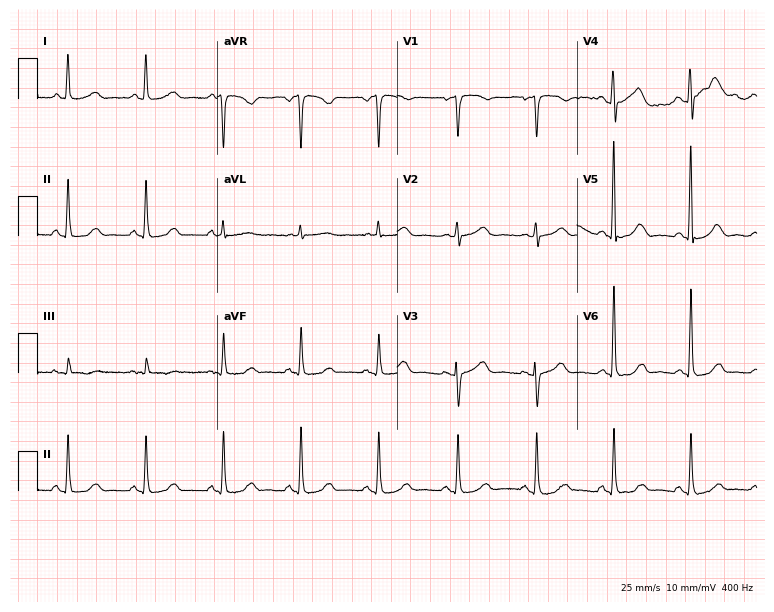
12-lead ECG from a 71-year-old woman (7.3-second recording at 400 Hz). Recorded interpretation: within normal limits.